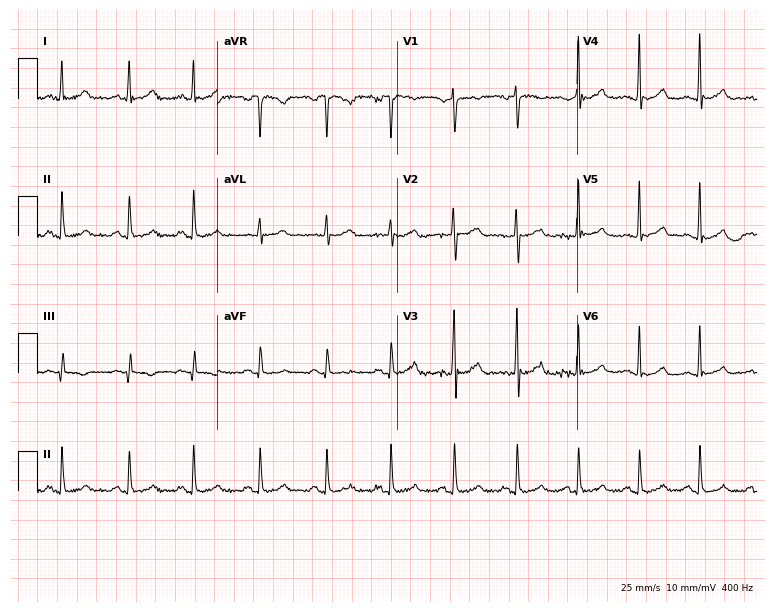
12-lead ECG from a 19-year-old woman (7.3-second recording at 400 Hz). Recorded interpretation: within normal limits.